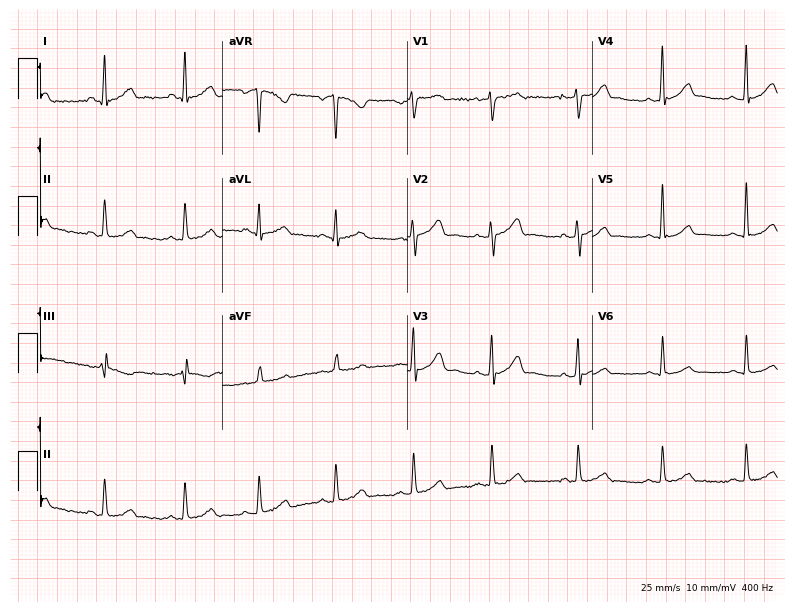
Electrocardiogram, a 31-year-old female patient. Overall reading on record: normal ECG.